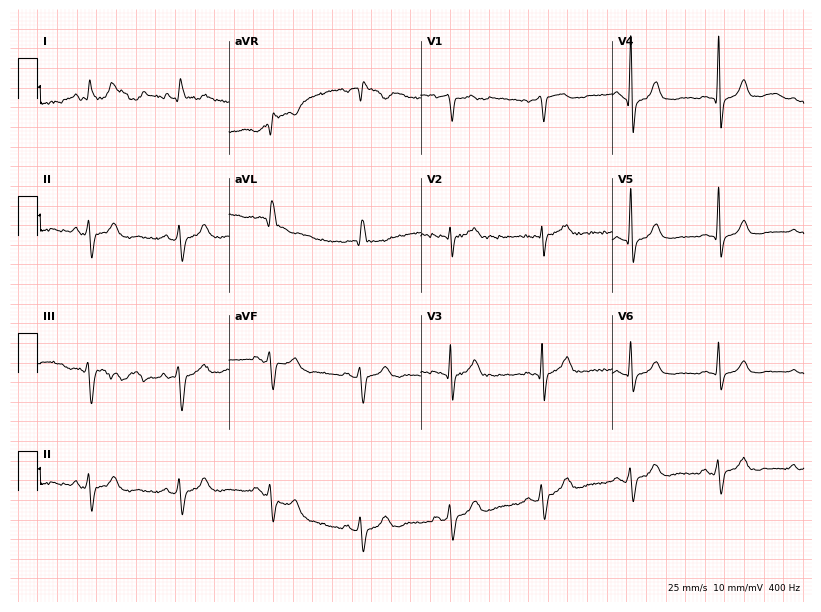
ECG (7.8-second recording at 400 Hz) — a male patient, 78 years old. Screened for six findings — first-degree AV block, right bundle branch block (RBBB), left bundle branch block (LBBB), sinus bradycardia, atrial fibrillation (AF), sinus tachycardia — none is recorded. Only these six findings were labelled.